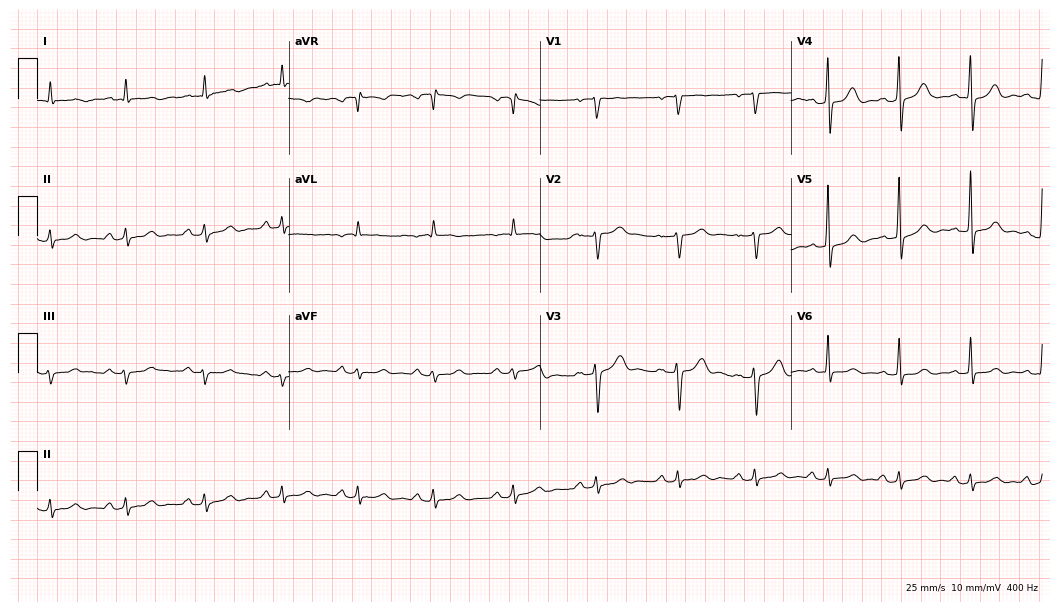
12-lead ECG from a 74-year-old male patient. No first-degree AV block, right bundle branch block, left bundle branch block, sinus bradycardia, atrial fibrillation or sinus tachycardia recorded for this tracing.